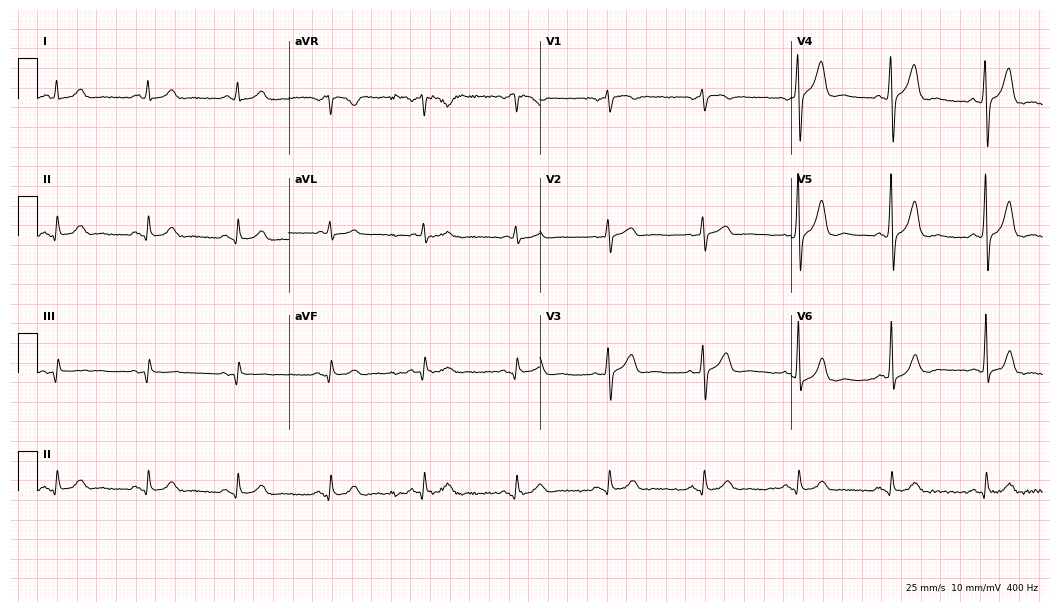
12-lead ECG from a 59-year-old man. No first-degree AV block, right bundle branch block, left bundle branch block, sinus bradycardia, atrial fibrillation or sinus tachycardia recorded for this tracing.